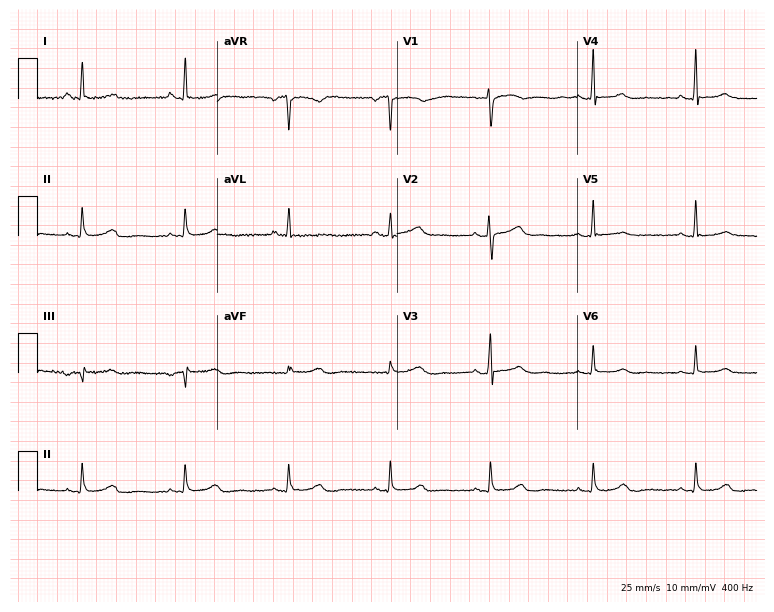
ECG (7.3-second recording at 400 Hz) — a female patient, 62 years old. Screened for six findings — first-degree AV block, right bundle branch block (RBBB), left bundle branch block (LBBB), sinus bradycardia, atrial fibrillation (AF), sinus tachycardia — none is recorded. Only these six findings were labelled.